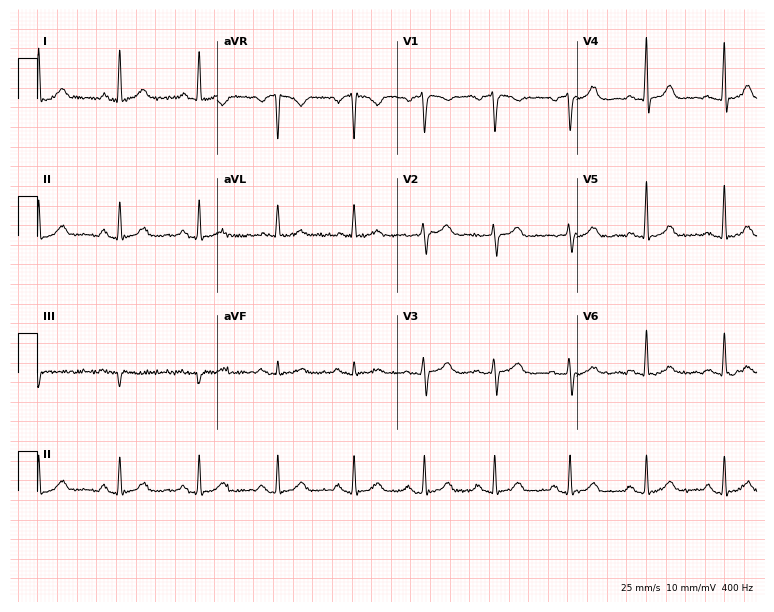
Electrocardiogram, a woman, 60 years old. Overall reading on record: normal ECG.